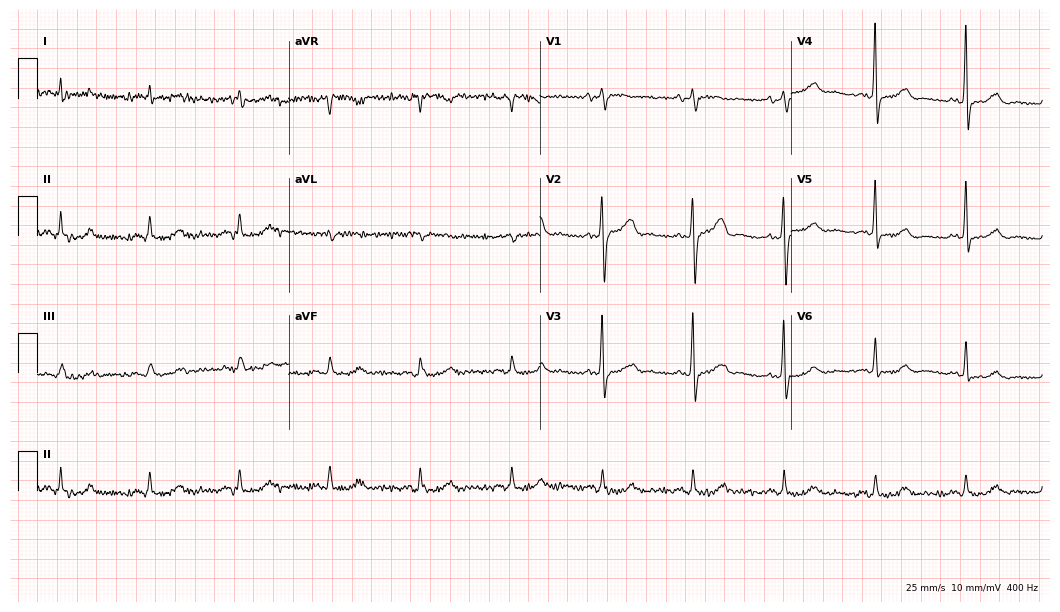
Standard 12-lead ECG recorded from a male, 77 years old. None of these six findings is recorded: first-degree AV block, right bundle branch block, left bundle branch block, sinus bradycardia, atrial fibrillation, sinus tachycardia. Findings outside these six are not listed.